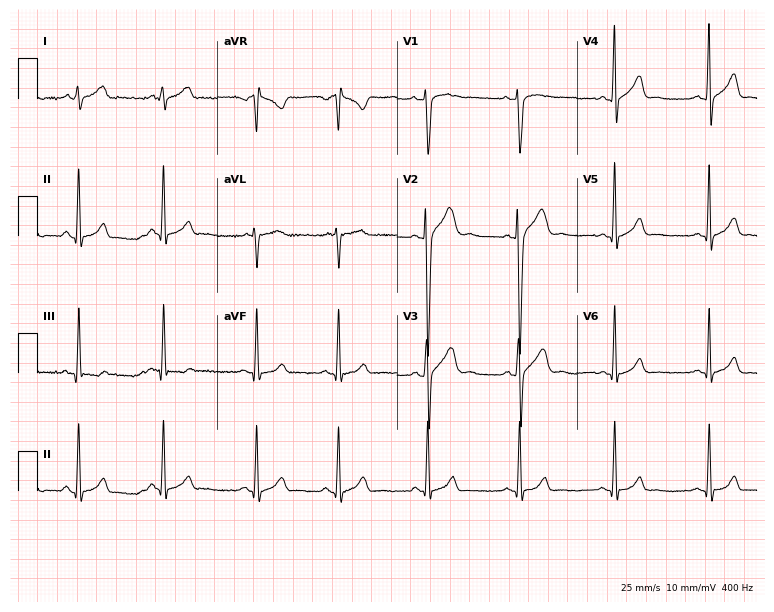
Electrocardiogram (7.3-second recording at 400 Hz), a 25-year-old man. Of the six screened findings (first-degree AV block, right bundle branch block (RBBB), left bundle branch block (LBBB), sinus bradycardia, atrial fibrillation (AF), sinus tachycardia), none is recorded.